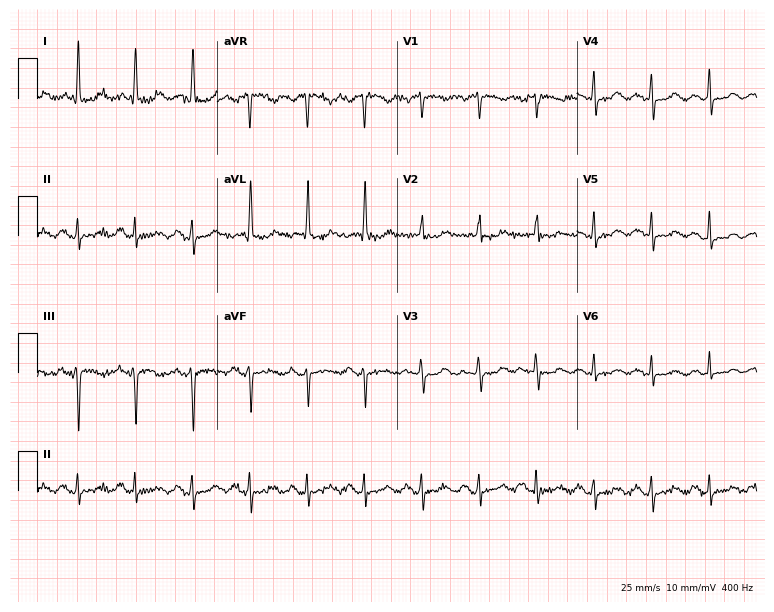
12-lead ECG (7.3-second recording at 400 Hz) from a woman, 81 years old. Findings include sinus tachycardia (a sinus rate of 100 beats per minute or more).